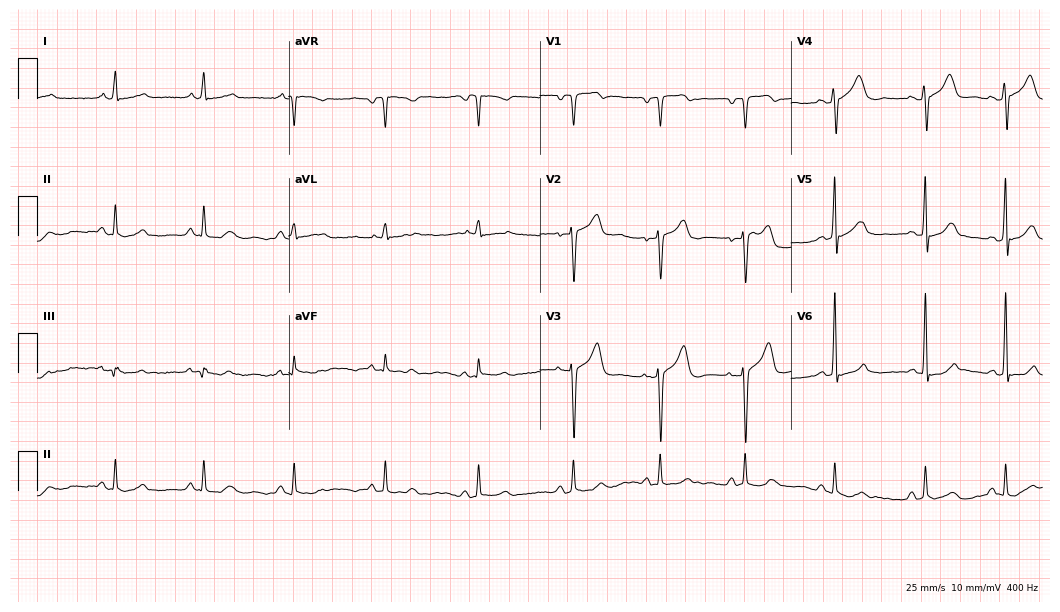
12-lead ECG from a 52-year-old female. Labelled as a normal ECG.